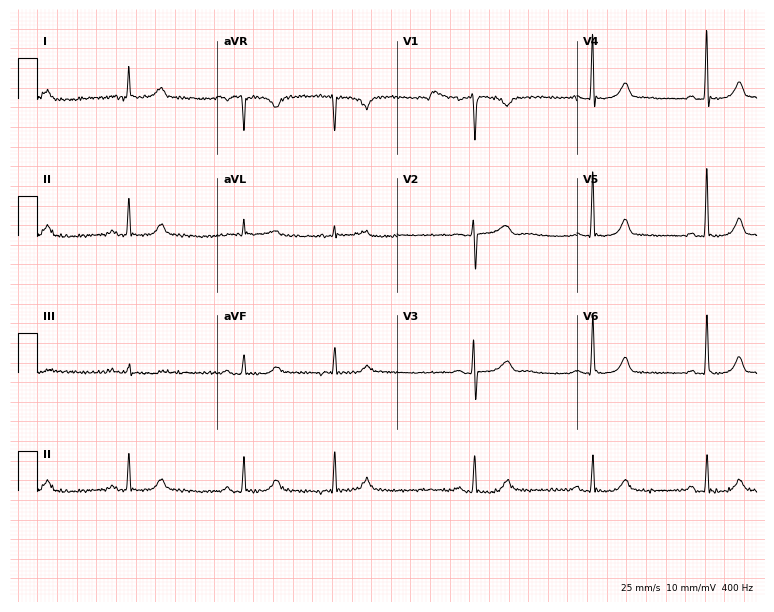
12-lead ECG from a 64-year-old male patient. Recorded interpretation: within normal limits.